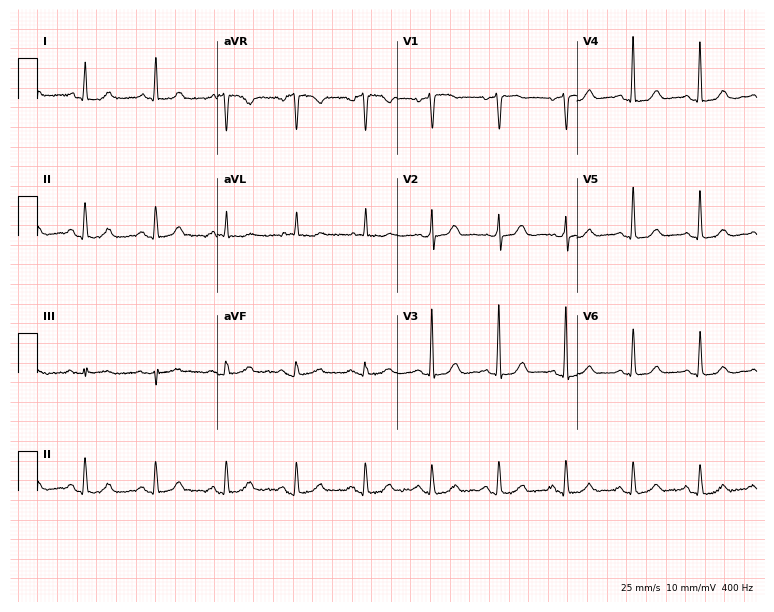
ECG (7.3-second recording at 400 Hz) — a female patient, 54 years old. Labelled as a normal ECG.